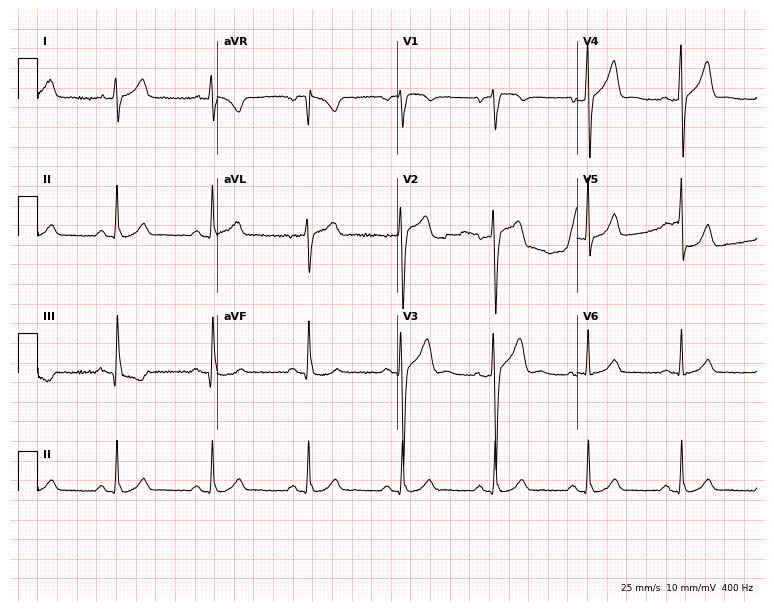
12-lead ECG from a man, 51 years old. No first-degree AV block, right bundle branch block, left bundle branch block, sinus bradycardia, atrial fibrillation or sinus tachycardia recorded for this tracing. Findings outside these six are not listed.